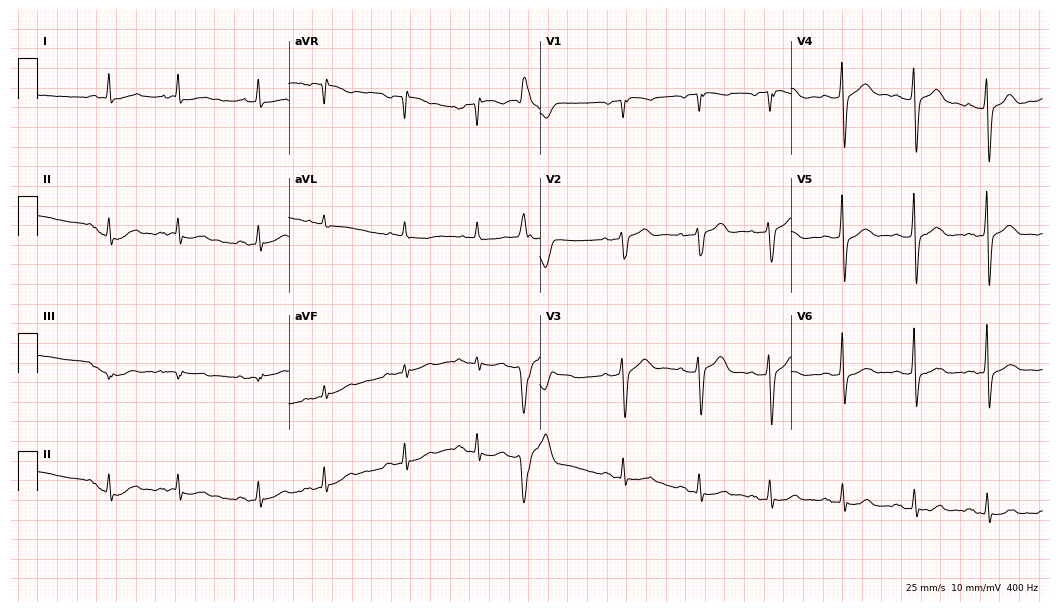
12-lead ECG (10.2-second recording at 400 Hz) from a 79-year-old man. Screened for six findings — first-degree AV block, right bundle branch block, left bundle branch block, sinus bradycardia, atrial fibrillation, sinus tachycardia — none is recorded.